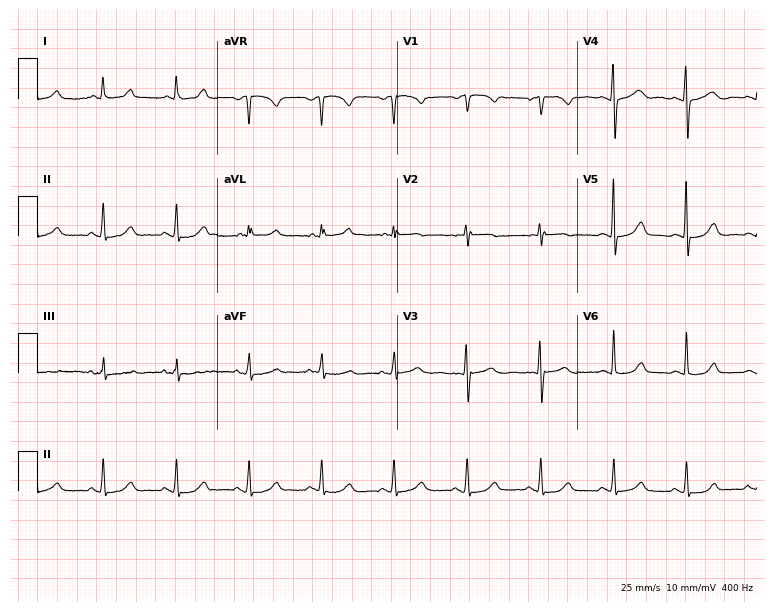
12-lead ECG (7.3-second recording at 400 Hz) from a 59-year-old female patient. Screened for six findings — first-degree AV block, right bundle branch block, left bundle branch block, sinus bradycardia, atrial fibrillation, sinus tachycardia — none is recorded.